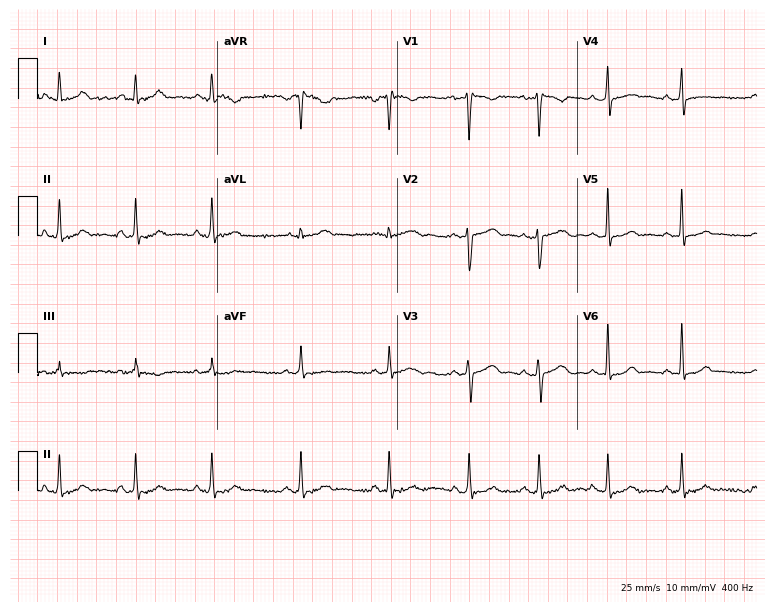
12-lead ECG from a female patient, 29 years old. Recorded interpretation: within normal limits.